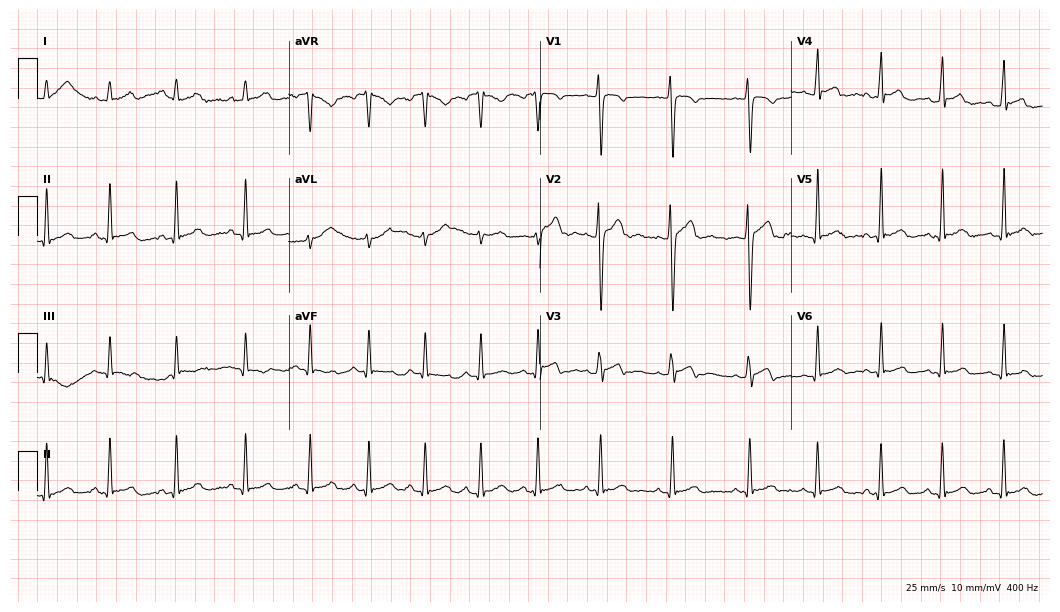
Standard 12-lead ECG recorded from an 18-year-old man. None of these six findings is recorded: first-degree AV block, right bundle branch block (RBBB), left bundle branch block (LBBB), sinus bradycardia, atrial fibrillation (AF), sinus tachycardia.